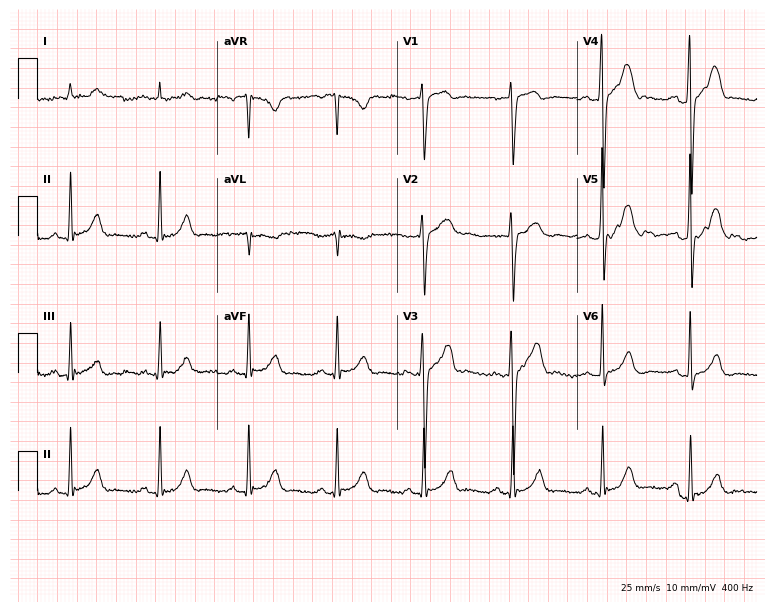
ECG (7.3-second recording at 400 Hz) — a 57-year-old male patient. Labelled as a normal ECG.